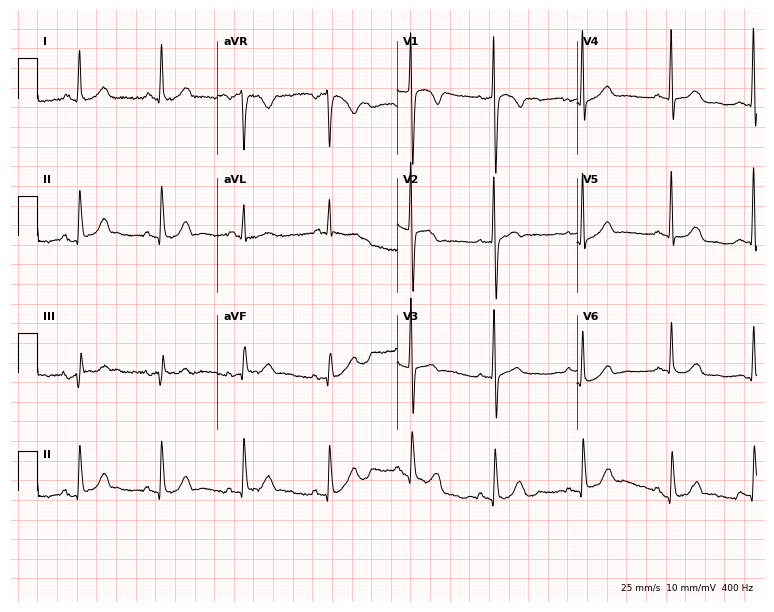
12-lead ECG from a female, 70 years old. Screened for six findings — first-degree AV block, right bundle branch block, left bundle branch block, sinus bradycardia, atrial fibrillation, sinus tachycardia — none is recorded. Other findings, if any, are not listed.